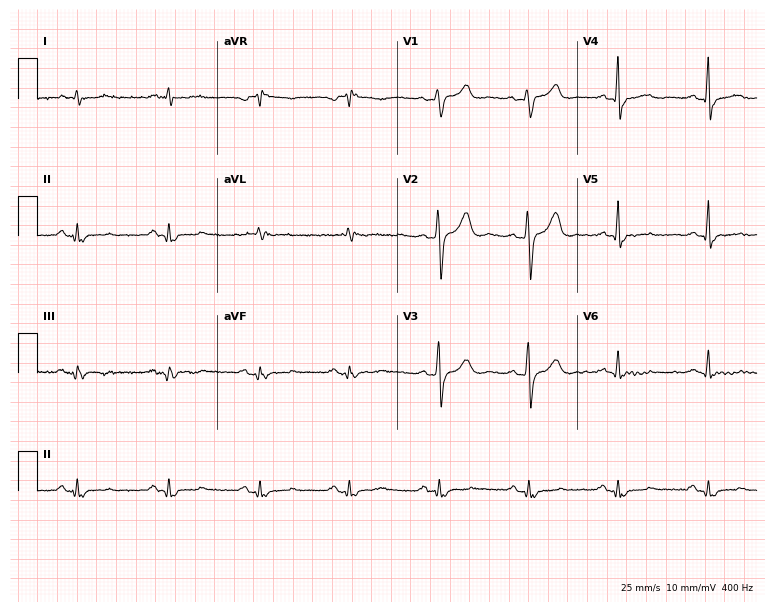
ECG (7.3-second recording at 400 Hz) — a male, 52 years old. Screened for six findings — first-degree AV block, right bundle branch block, left bundle branch block, sinus bradycardia, atrial fibrillation, sinus tachycardia — none is recorded. Other findings, if any, are not listed.